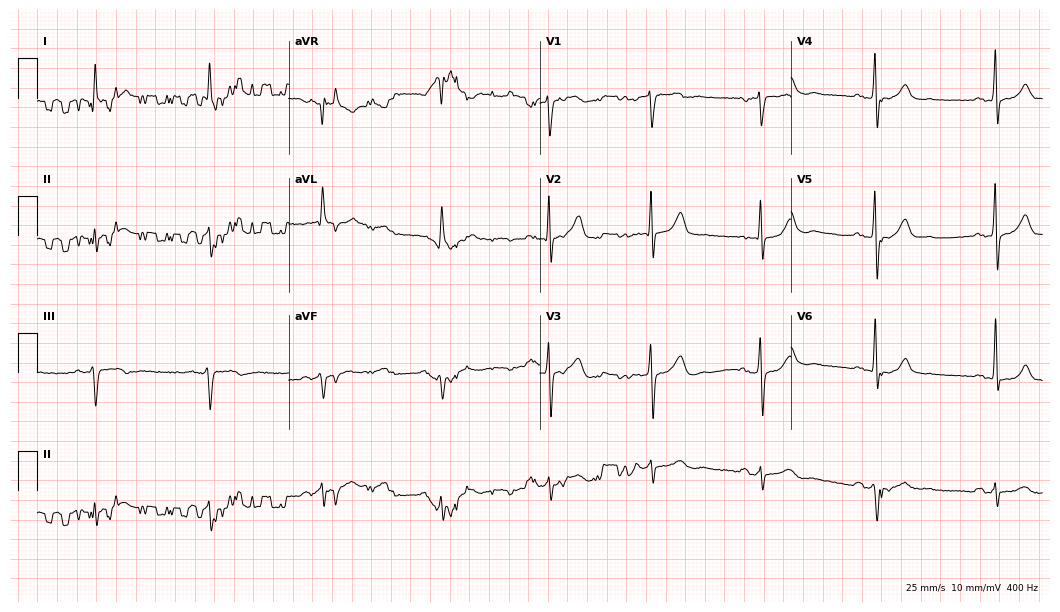
Electrocardiogram, a 59-year-old man. Of the six screened findings (first-degree AV block, right bundle branch block (RBBB), left bundle branch block (LBBB), sinus bradycardia, atrial fibrillation (AF), sinus tachycardia), none is recorded.